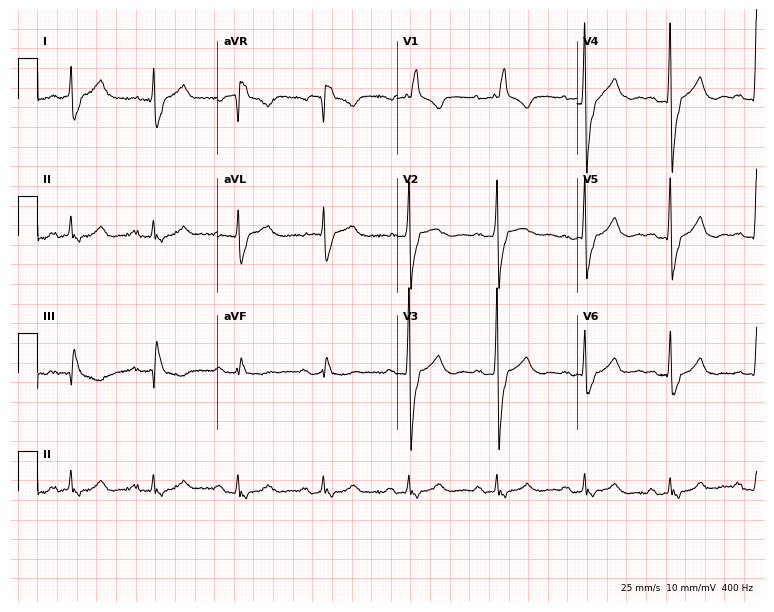
Standard 12-lead ECG recorded from an 81-year-old male patient. The tracing shows first-degree AV block, right bundle branch block.